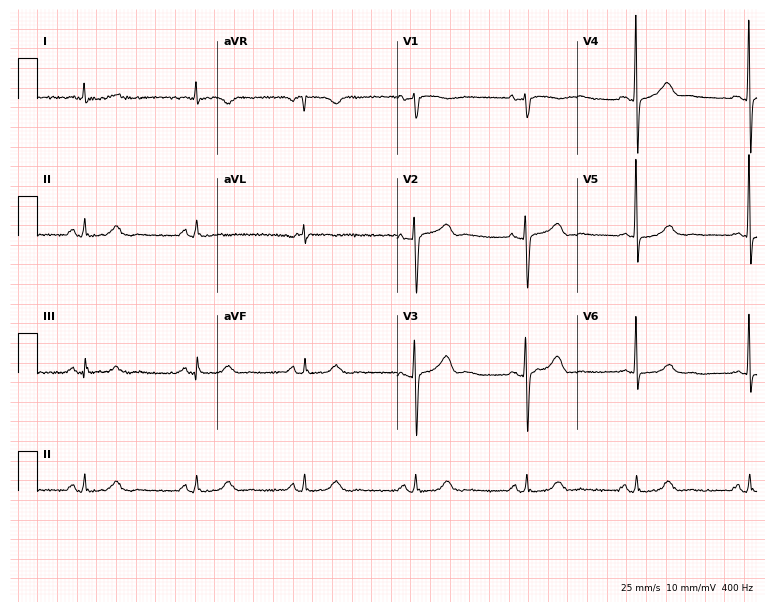
ECG — a 66-year-old woman. Labelled as a normal ECG.